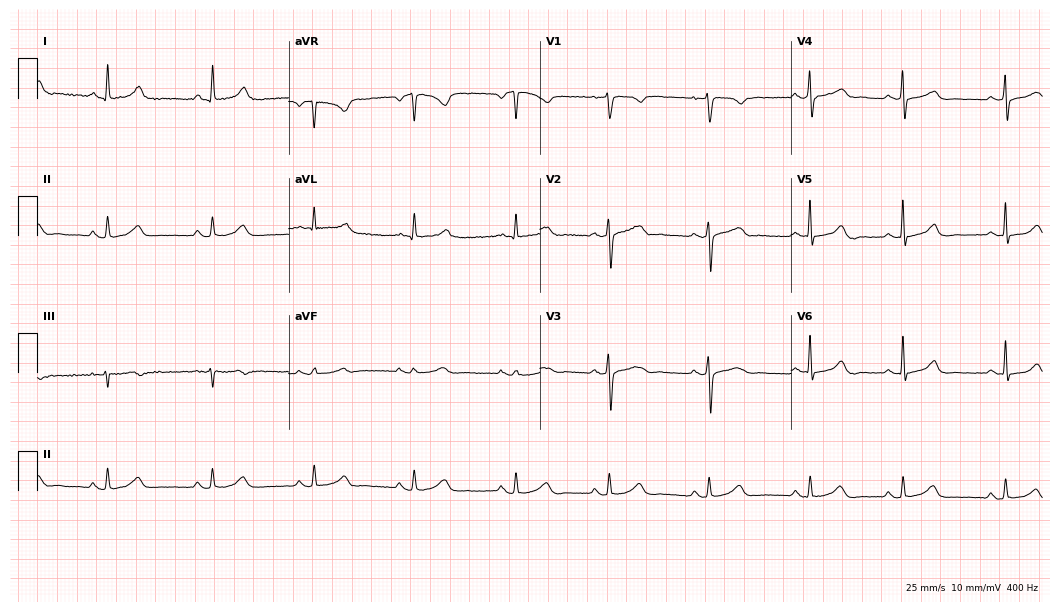
Electrocardiogram (10.2-second recording at 400 Hz), a 38-year-old female patient. Overall reading on record: normal ECG.